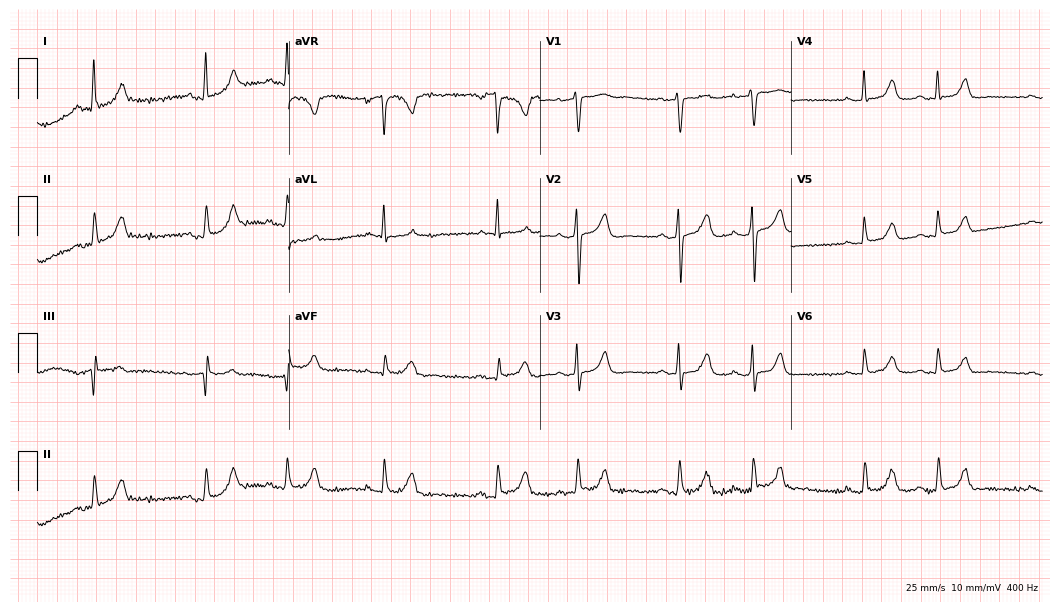
Electrocardiogram, a 78-year-old female. Of the six screened findings (first-degree AV block, right bundle branch block (RBBB), left bundle branch block (LBBB), sinus bradycardia, atrial fibrillation (AF), sinus tachycardia), none is recorded.